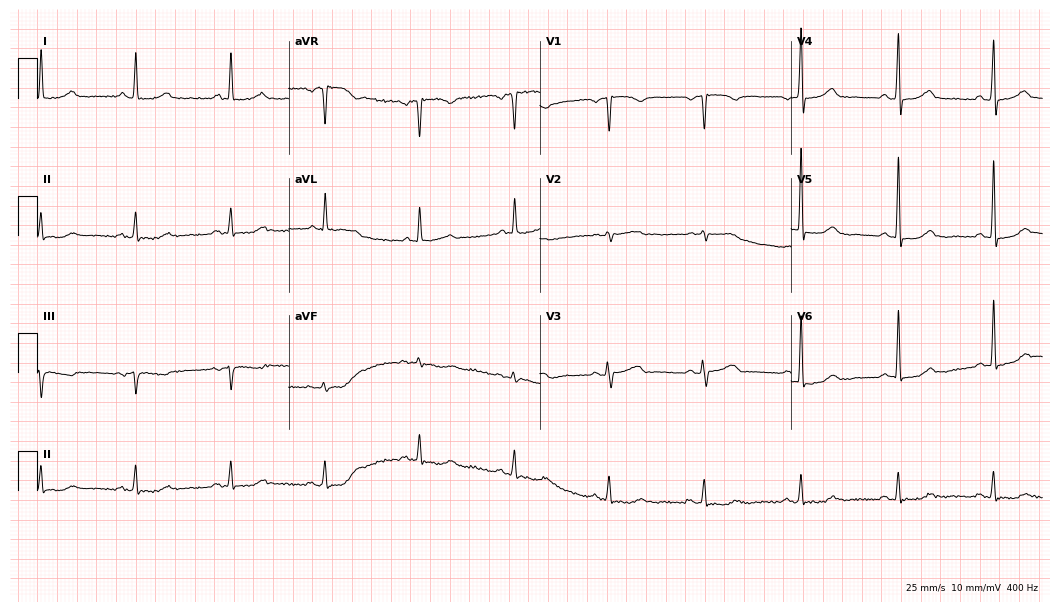
12-lead ECG from a female patient, 66 years old. Recorded interpretation: within normal limits.